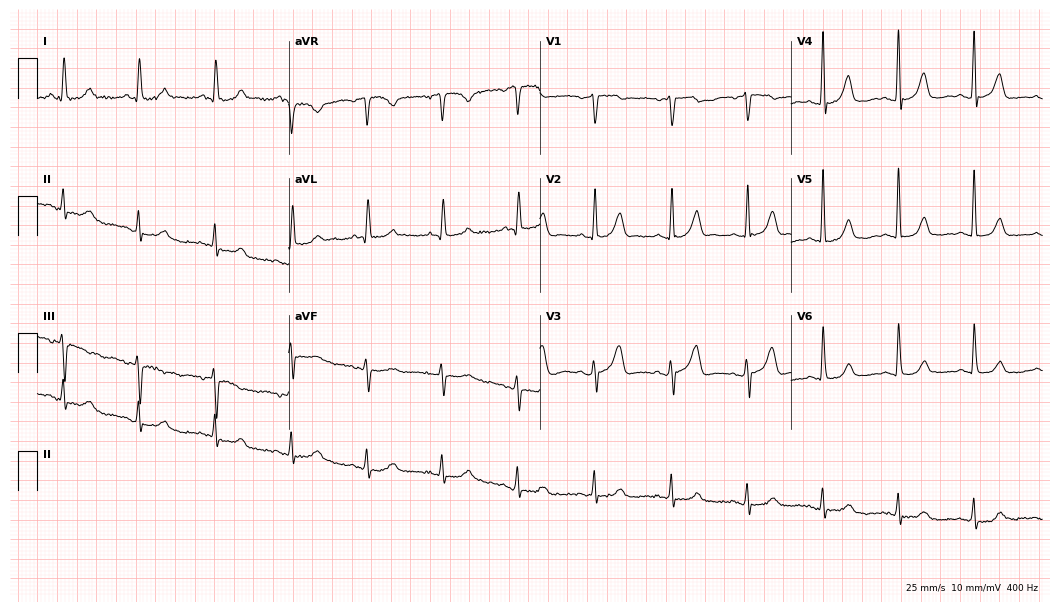
Standard 12-lead ECG recorded from an 84-year-old female patient (10.2-second recording at 400 Hz). None of these six findings is recorded: first-degree AV block, right bundle branch block (RBBB), left bundle branch block (LBBB), sinus bradycardia, atrial fibrillation (AF), sinus tachycardia. Other findings, if any, are not listed.